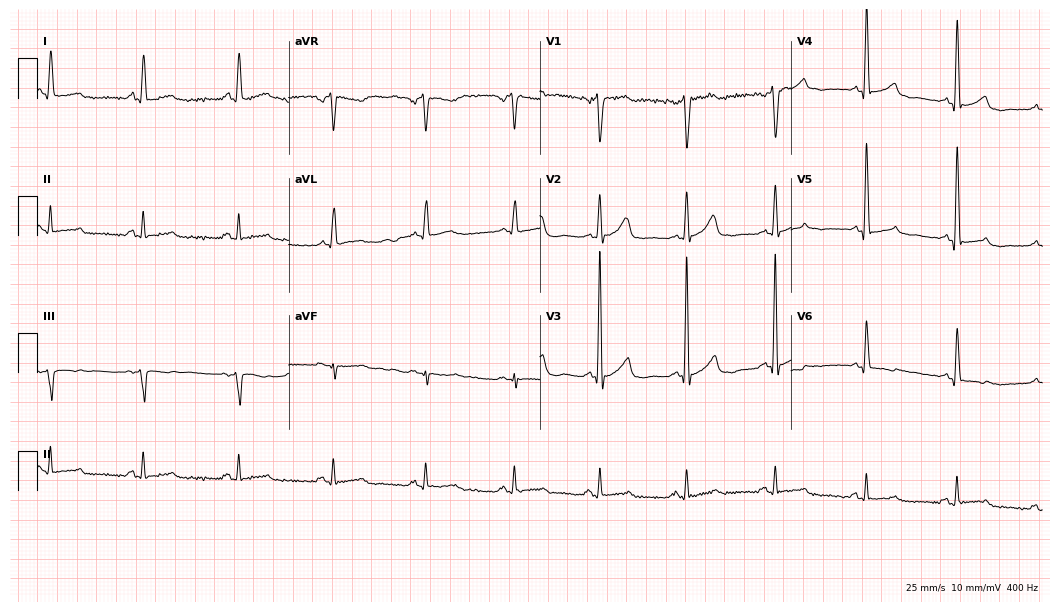
12-lead ECG (10.2-second recording at 400 Hz) from a man, 57 years old. Screened for six findings — first-degree AV block, right bundle branch block (RBBB), left bundle branch block (LBBB), sinus bradycardia, atrial fibrillation (AF), sinus tachycardia — none is recorded.